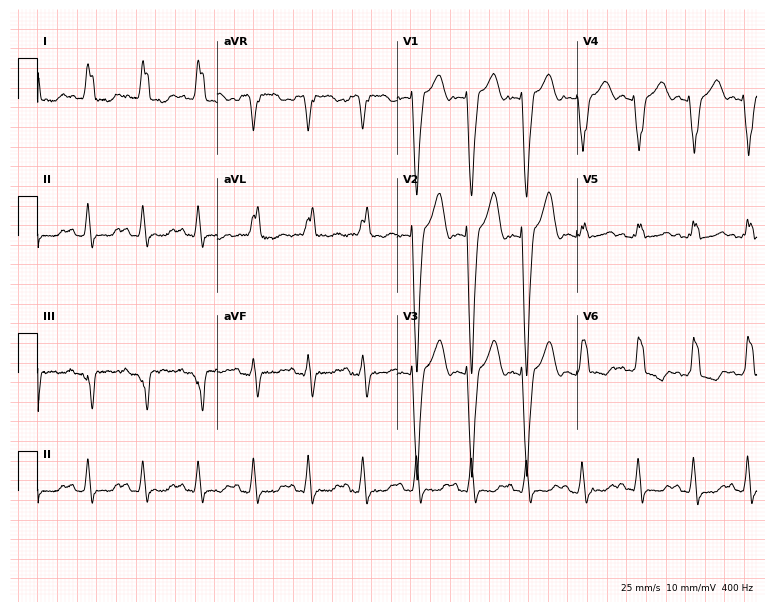
Standard 12-lead ECG recorded from a female, 61 years old. The tracing shows left bundle branch block (LBBB), sinus tachycardia (a sinus rate of 100 beats per minute or more).